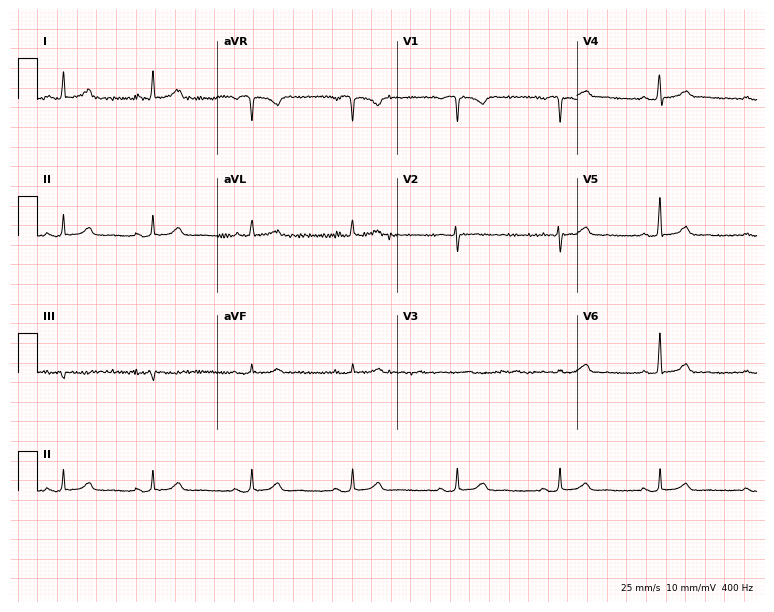
12-lead ECG from a 33-year-old woman. Recorded interpretation: within normal limits.